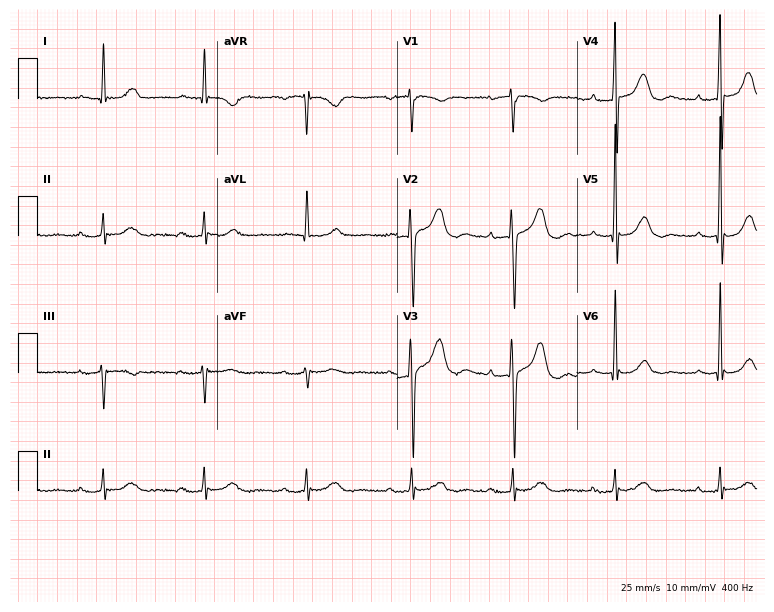
Resting 12-lead electrocardiogram (7.3-second recording at 400 Hz). Patient: a male, 67 years old. The tracing shows first-degree AV block.